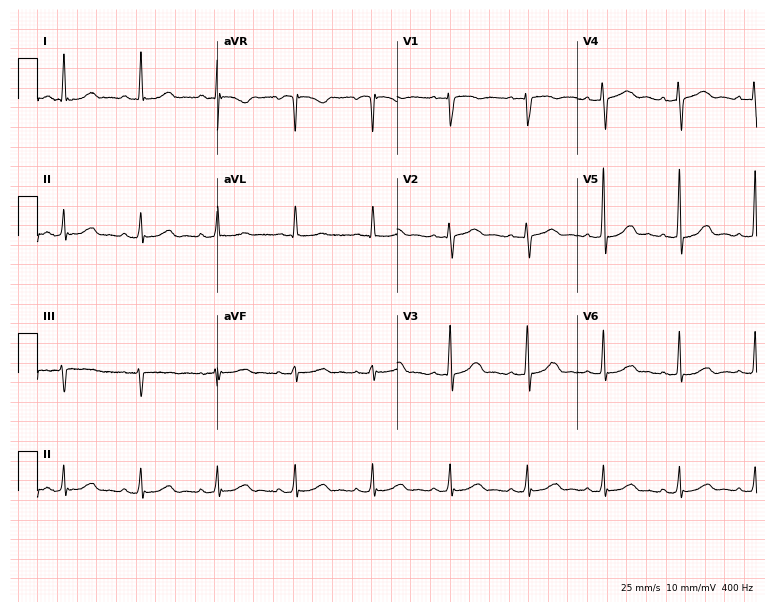
Resting 12-lead electrocardiogram (7.3-second recording at 400 Hz). Patient: a female, 61 years old. Read as a normal ECG.